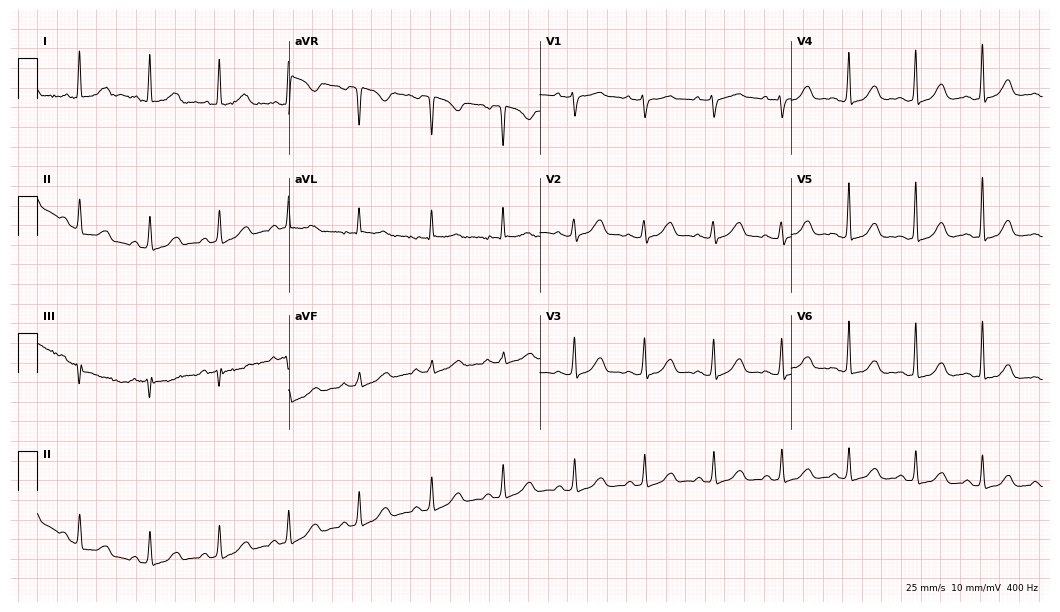
12-lead ECG from a female, 52 years old (10.2-second recording at 400 Hz). No first-degree AV block, right bundle branch block, left bundle branch block, sinus bradycardia, atrial fibrillation or sinus tachycardia recorded for this tracing. Only these six findings were labelled.